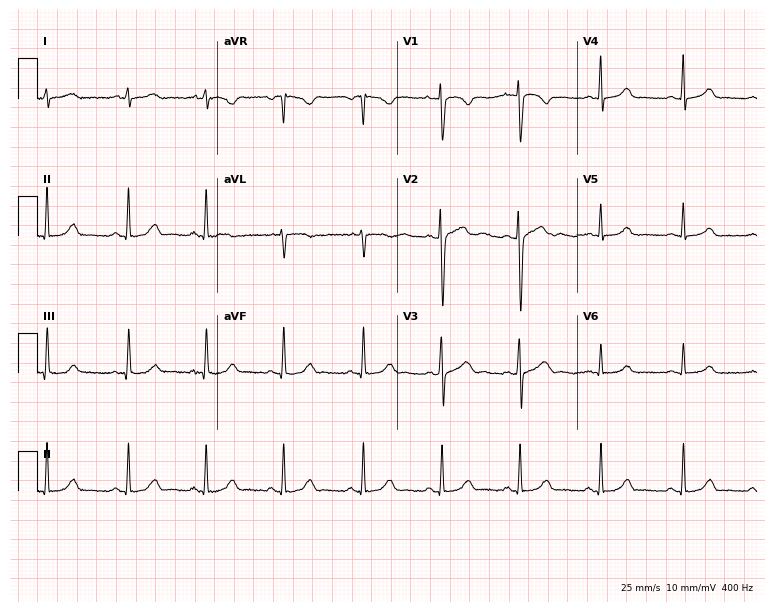
12-lead ECG from a 28-year-old female. Screened for six findings — first-degree AV block, right bundle branch block, left bundle branch block, sinus bradycardia, atrial fibrillation, sinus tachycardia — none is recorded. Other findings, if any, are not listed.